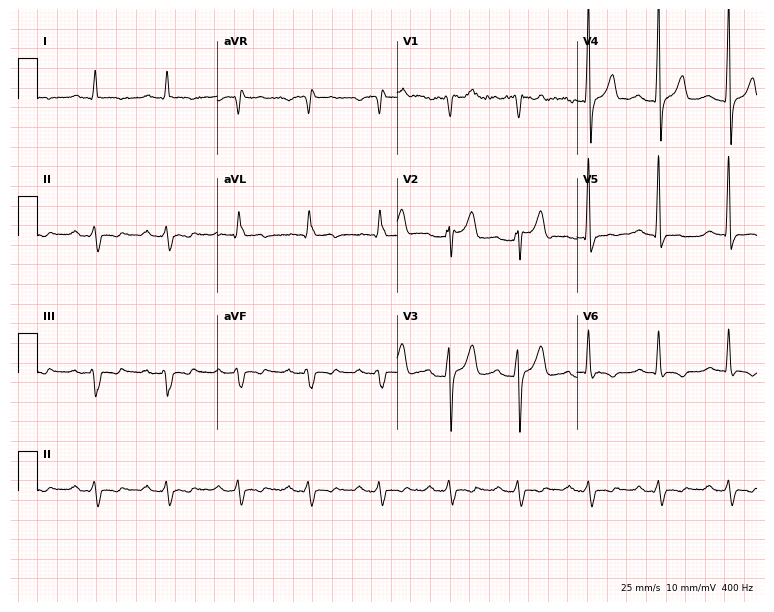
12-lead ECG (7.3-second recording at 400 Hz) from a 74-year-old male. Screened for six findings — first-degree AV block, right bundle branch block (RBBB), left bundle branch block (LBBB), sinus bradycardia, atrial fibrillation (AF), sinus tachycardia — none is recorded. Other findings, if any, are not listed.